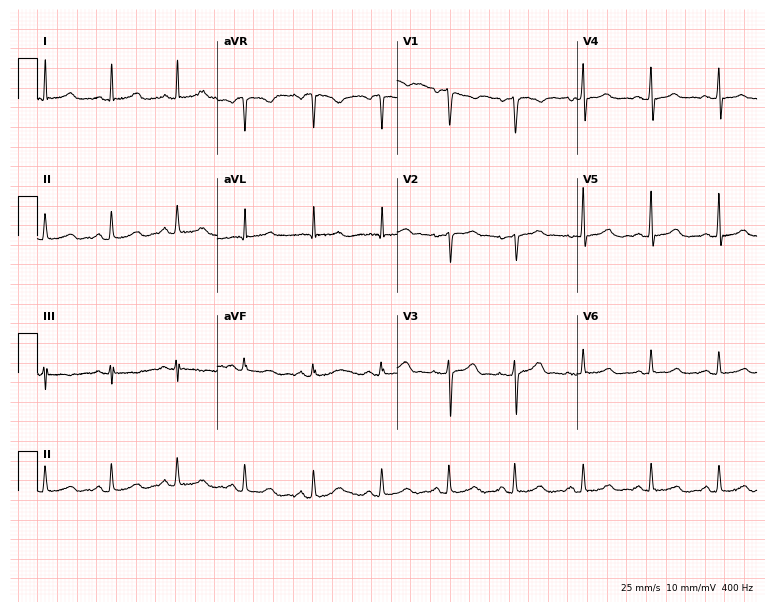
Electrocardiogram (7.3-second recording at 400 Hz), a female, 53 years old. Overall reading on record: normal ECG.